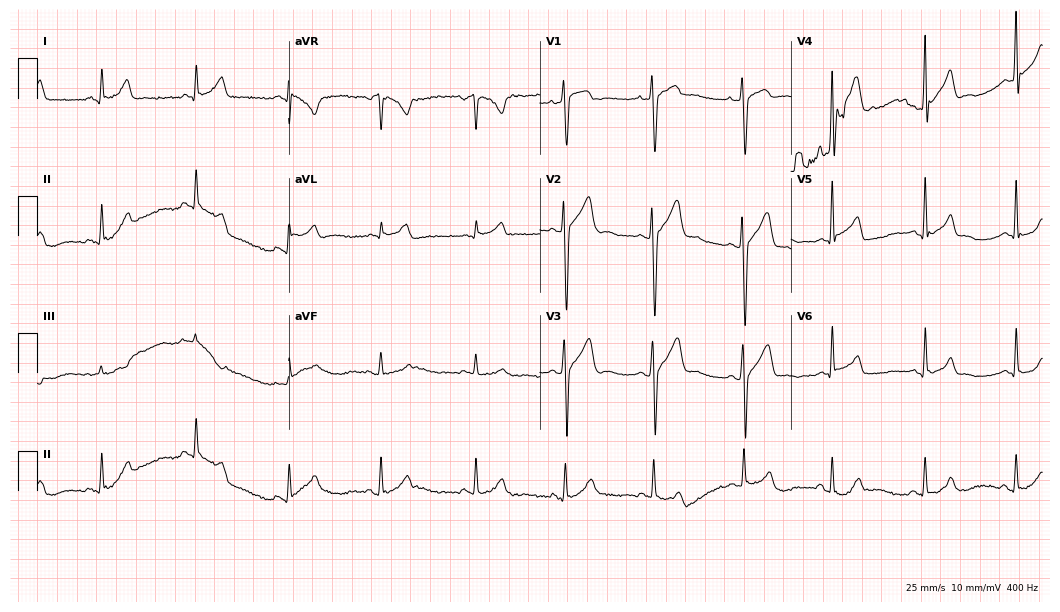
Standard 12-lead ECG recorded from a man, 29 years old (10.2-second recording at 400 Hz). None of these six findings is recorded: first-degree AV block, right bundle branch block, left bundle branch block, sinus bradycardia, atrial fibrillation, sinus tachycardia.